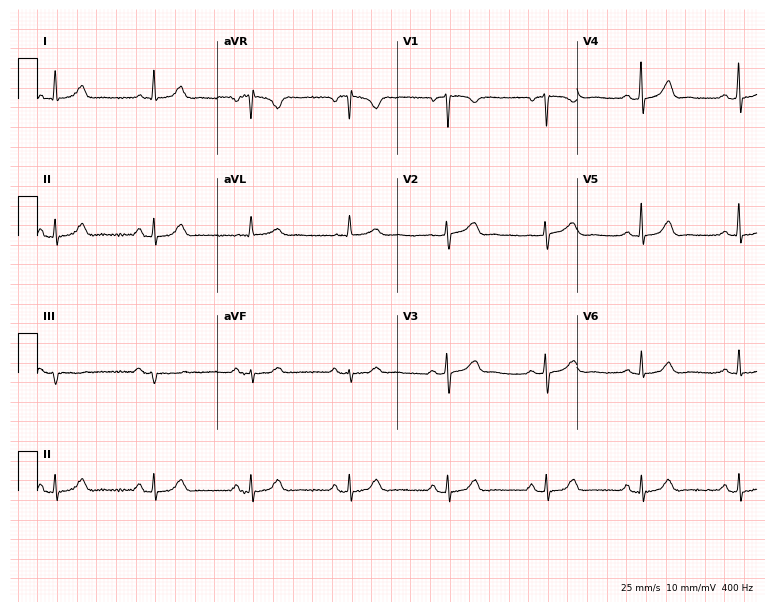
Resting 12-lead electrocardiogram (7.3-second recording at 400 Hz). Patient: a female, 55 years old. Read as a normal ECG.